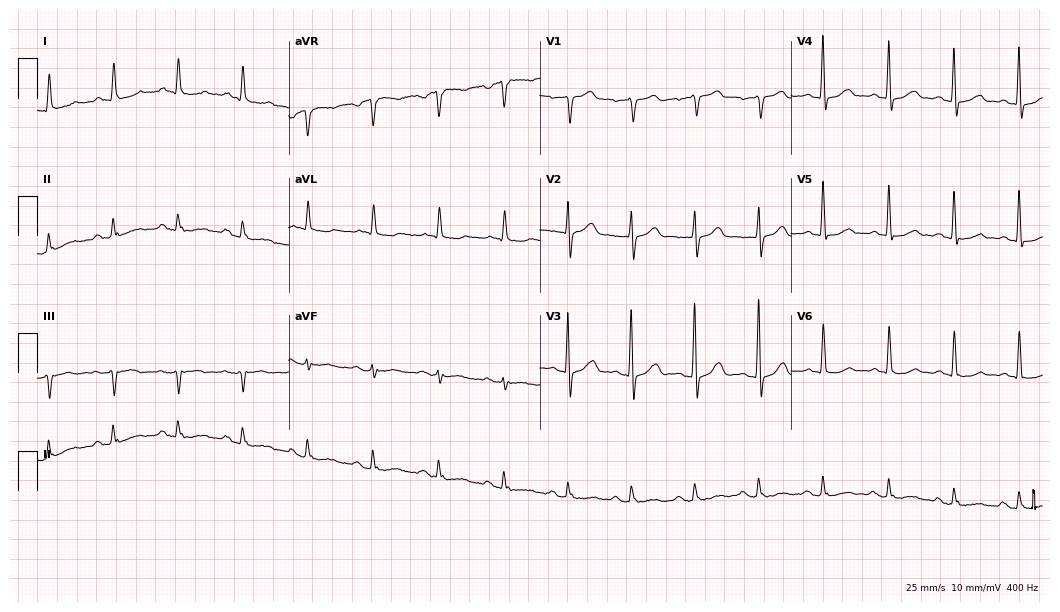
Resting 12-lead electrocardiogram. Patient: a 71-year-old man. Read as a normal ECG.